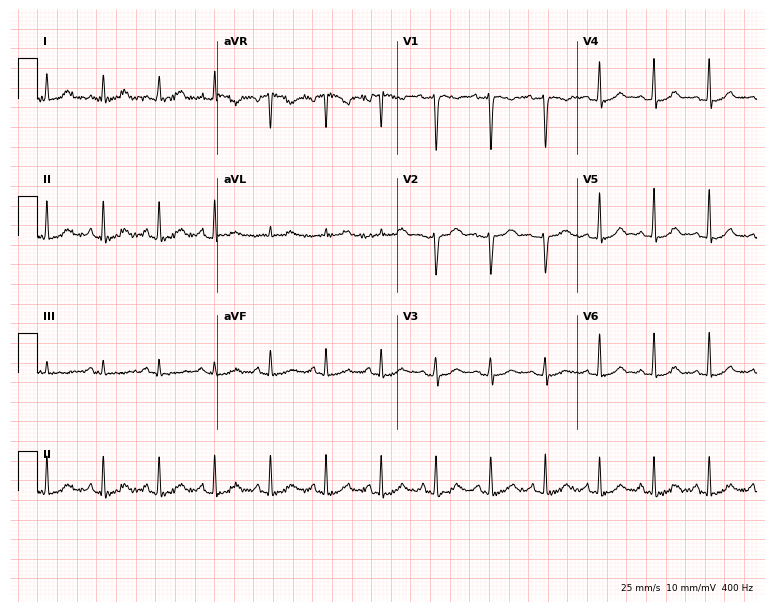
Resting 12-lead electrocardiogram. Patient: a 34-year-old female. The tracing shows sinus tachycardia (a sinus rate of 100 beats per minute or more).